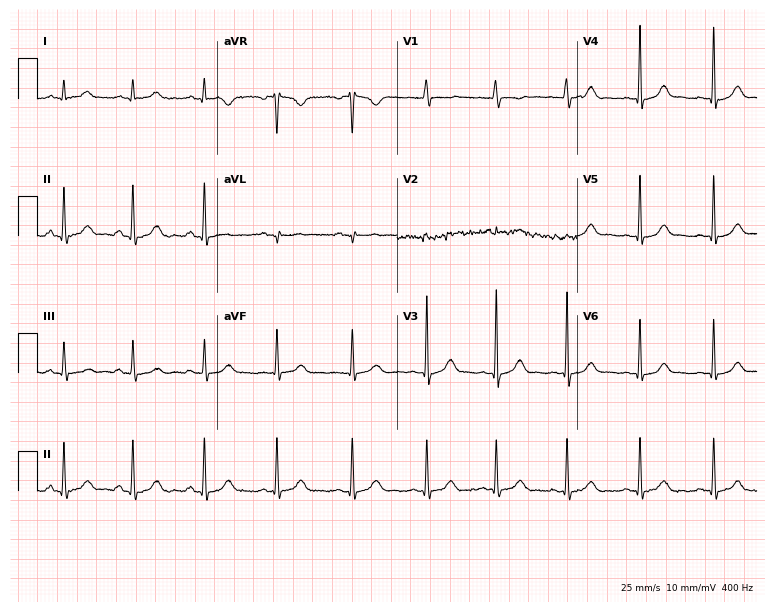
Electrocardiogram (7.3-second recording at 400 Hz), a female patient, 24 years old. Overall reading on record: normal ECG.